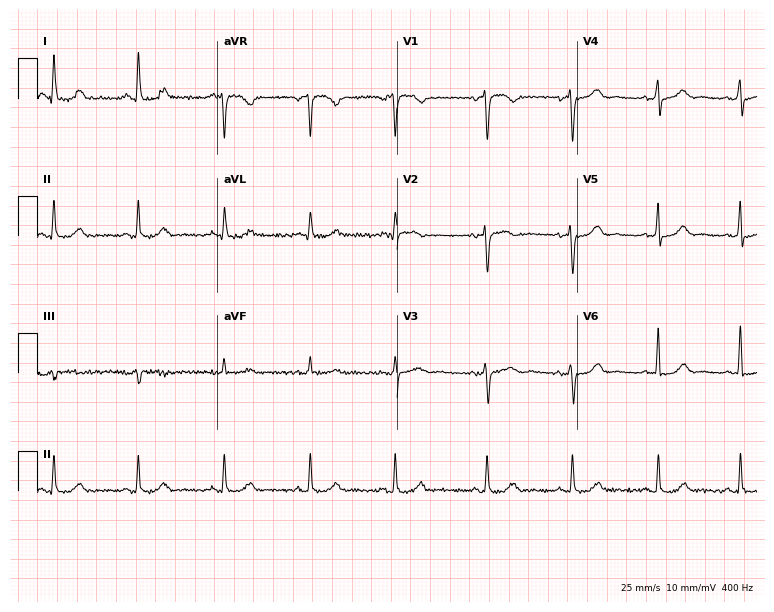
12-lead ECG from a 62-year-old female patient. Labelled as a normal ECG.